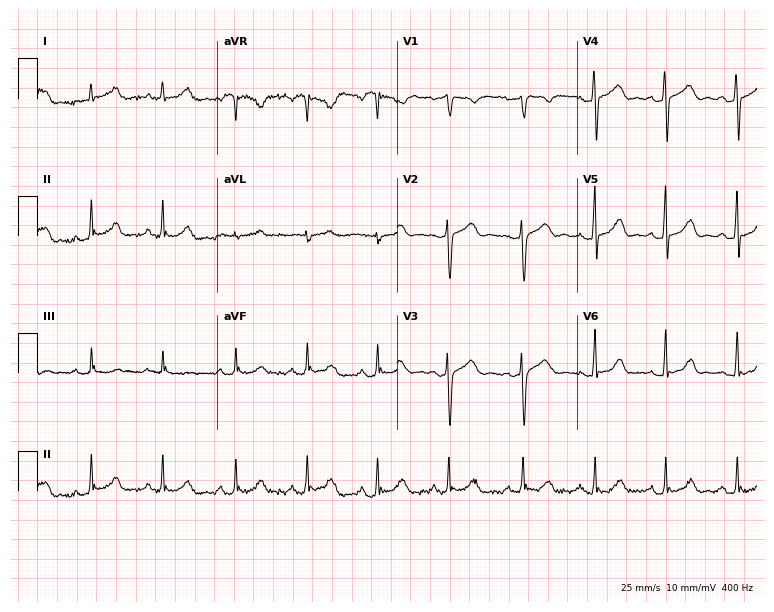
12-lead ECG from a female, 48 years old. Screened for six findings — first-degree AV block, right bundle branch block (RBBB), left bundle branch block (LBBB), sinus bradycardia, atrial fibrillation (AF), sinus tachycardia — none is recorded.